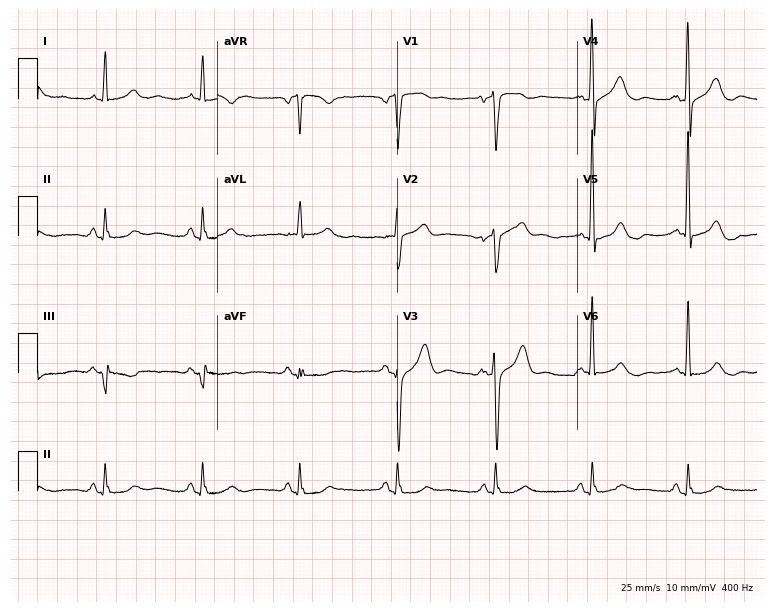
12-lead ECG from a 78-year-old male patient. No first-degree AV block, right bundle branch block (RBBB), left bundle branch block (LBBB), sinus bradycardia, atrial fibrillation (AF) or sinus tachycardia recorded for this tracing.